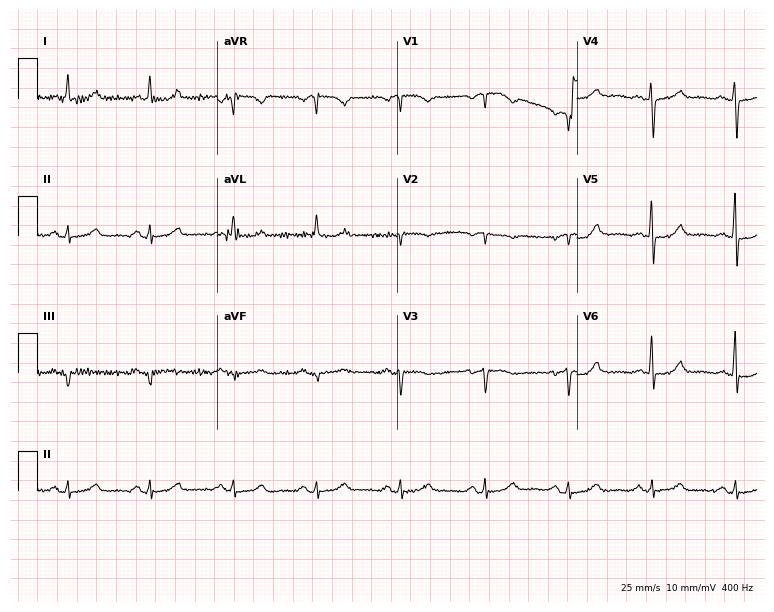
Standard 12-lead ECG recorded from a 72-year-old woman. None of these six findings is recorded: first-degree AV block, right bundle branch block (RBBB), left bundle branch block (LBBB), sinus bradycardia, atrial fibrillation (AF), sinus tachycardia.